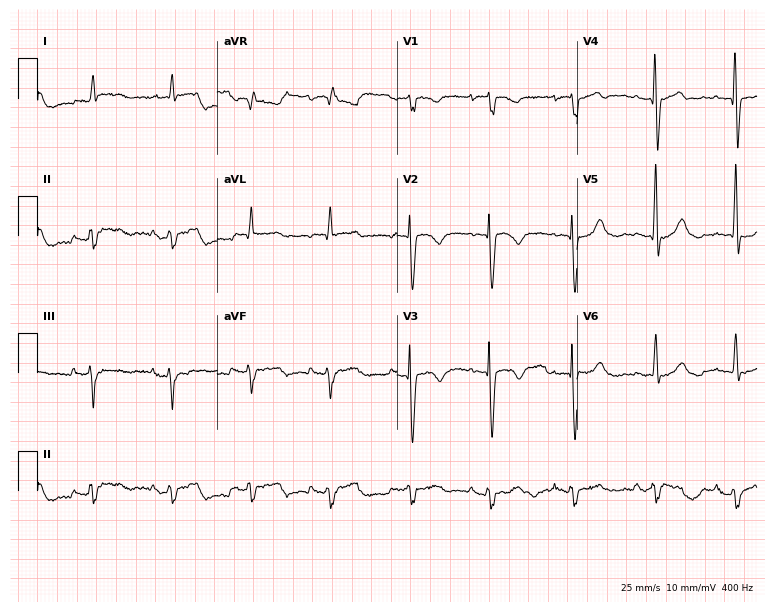
ECG — a man, 79 years old. Screened for six findings — first-degree AV block, right bundle branch block (RBBB), left bundle branch block (LBBB), sinus bradycardia, atrial fibrillation (AF), sinus tachycardia — none is recorded.